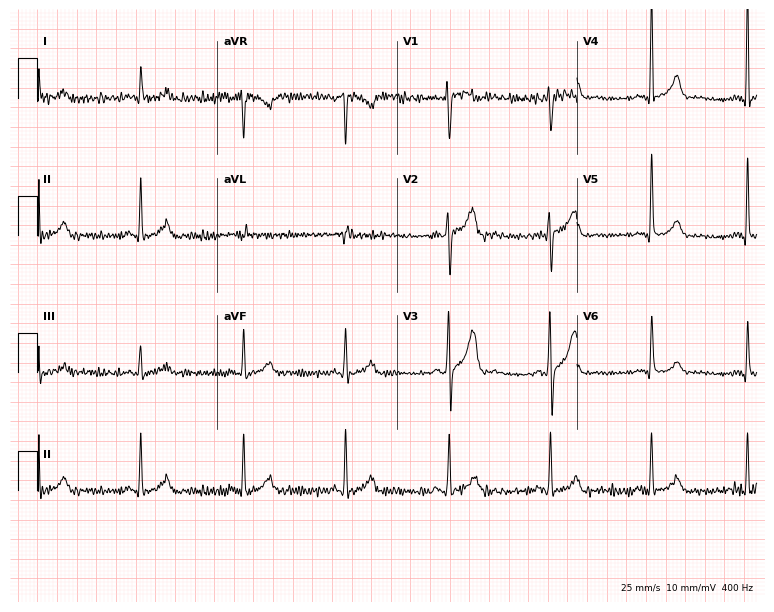
Electrocardiogram, a 59-year-old male patient. Of the six screened findings (first-degree AV block, right bundle branch block, left bundle branch block, sinus bradycardia, atrial fibrillation, sinus tachycardia), none is recorded. Only these six findings were labelled.